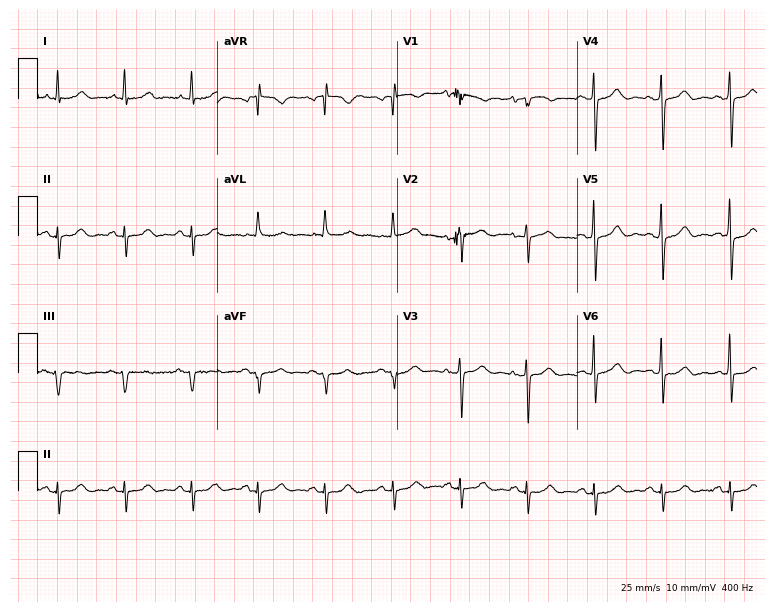
Standard 12-lead ECG recorded from a female patient, 76 years old (7.3-second recording at 400 Hz). None of these six findings is recorded: first-degree AV block, right bundle branch block (RBBB), left bundle branch block (LBBB), sinus bradycardia, atrial fibrillation (AF), sinus tachycardia.